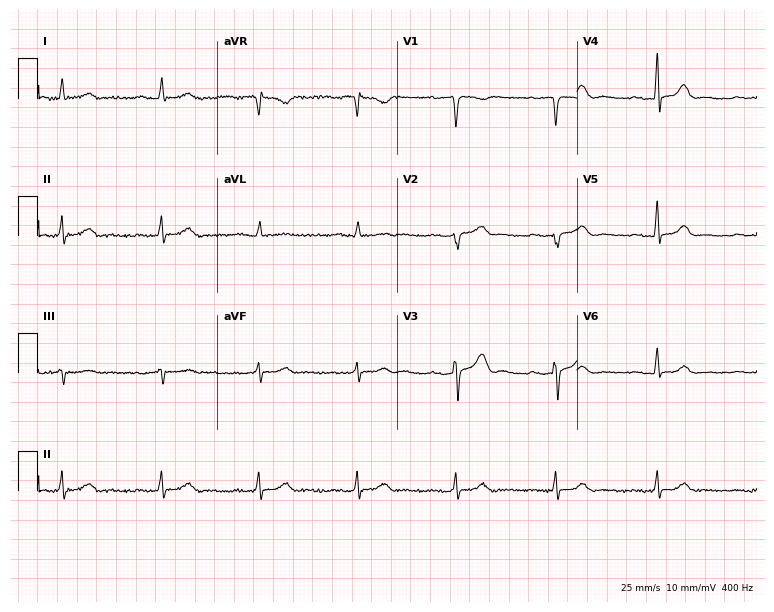
12-lead ECG from a male, 82 years old. Labelled as a normal ECG.